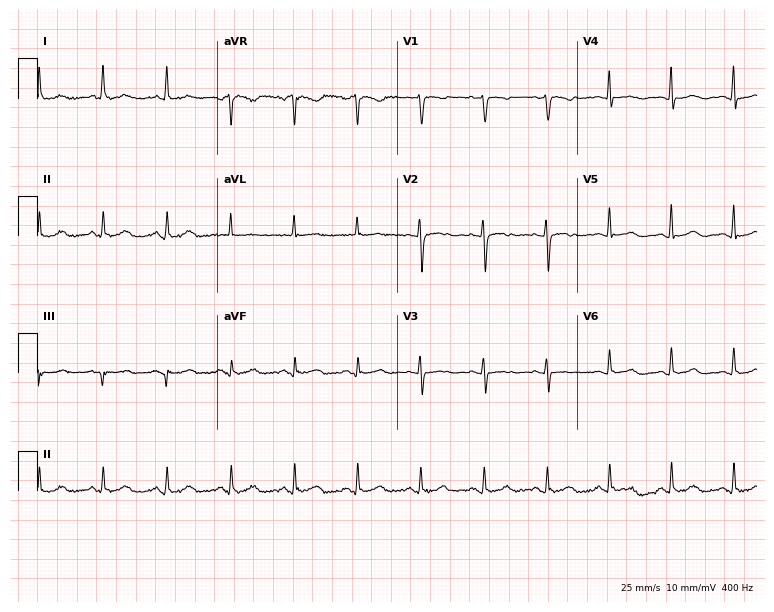
Standard 12-lead ECG recorded from a female, 49 years old. None of these six findings is recorded: first-degree AV block, right bundle branch block (RBBB), left bundle branch block (LBBB), sinus bradycardia, atrial fibrillation (AF), sinus tachycardia.